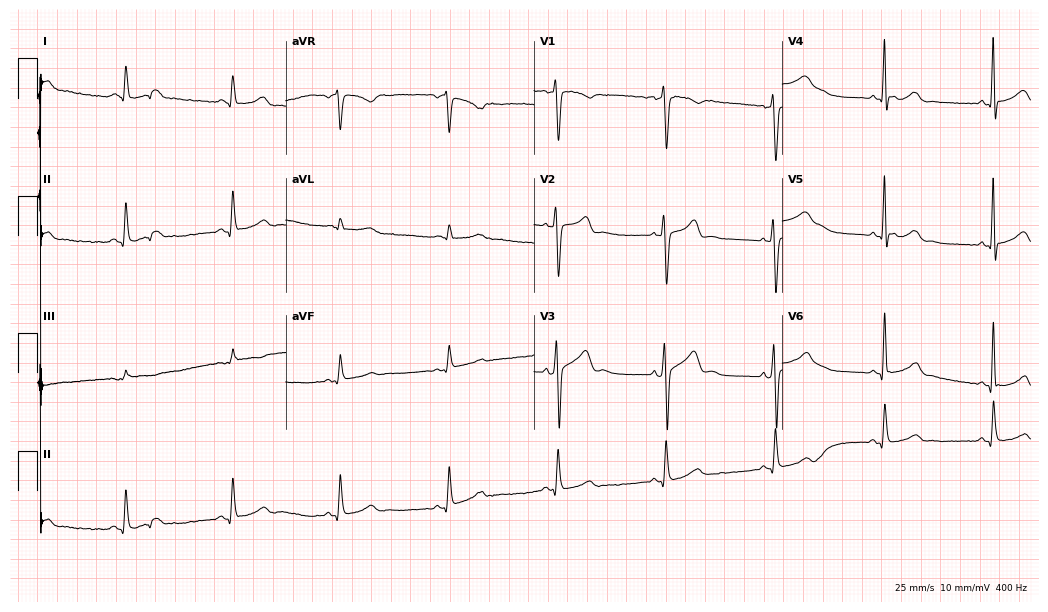
ECG (10.1-second recording at 400 Hz) — a male, 44 years old. Screened for six findings — first-degree AV block, right bundle branch block (RBBB), left bundle branch block (LBBB), sinus bradycardia, atrial fibrillation (AF), sinus tachycardia — none is recorded. Findings outside these six are not listed.